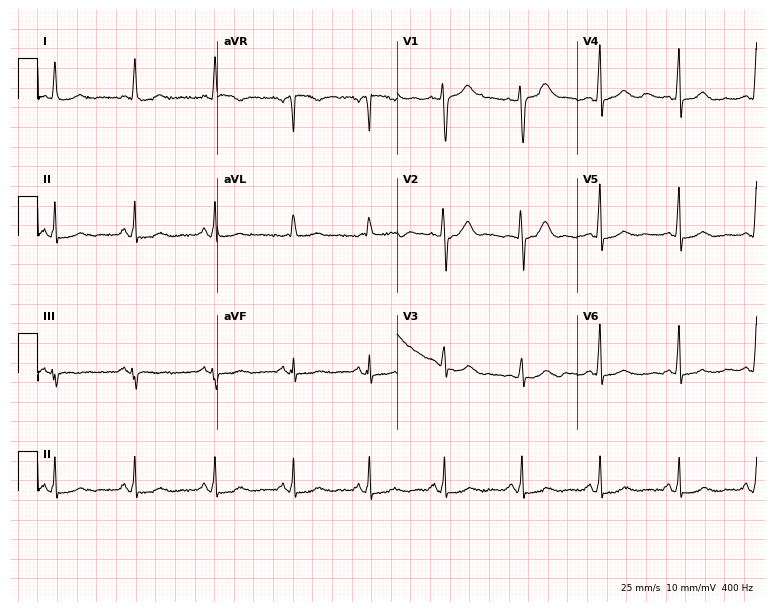
Electrocardiogram, a female, 55 years old. Of the six screened findings (first-degree AV block, right bundle branch block, left bundle branch block, sinus bradycardia, atrial fibrillation, sinus tachycardia), none is recorded. Findings outside these six are not listed.